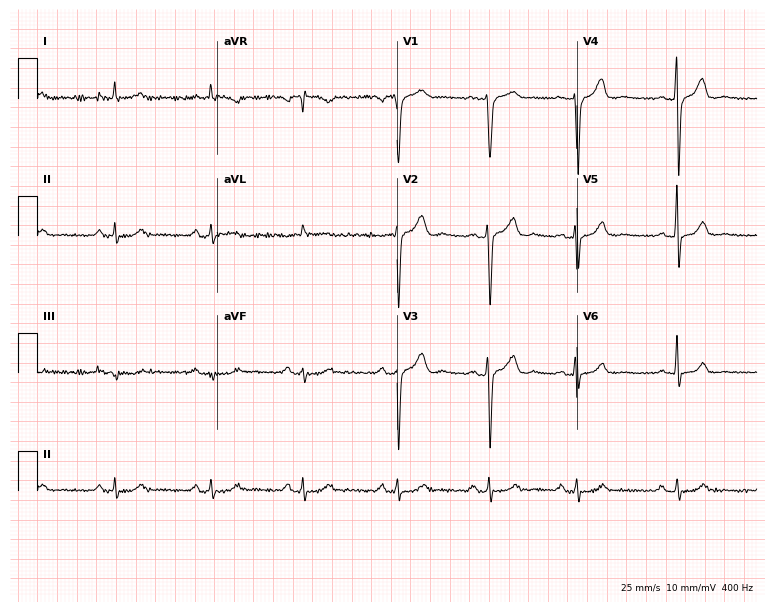
12-lead ECG from a male patient, 40 years old. Labelled as a normal ECG.